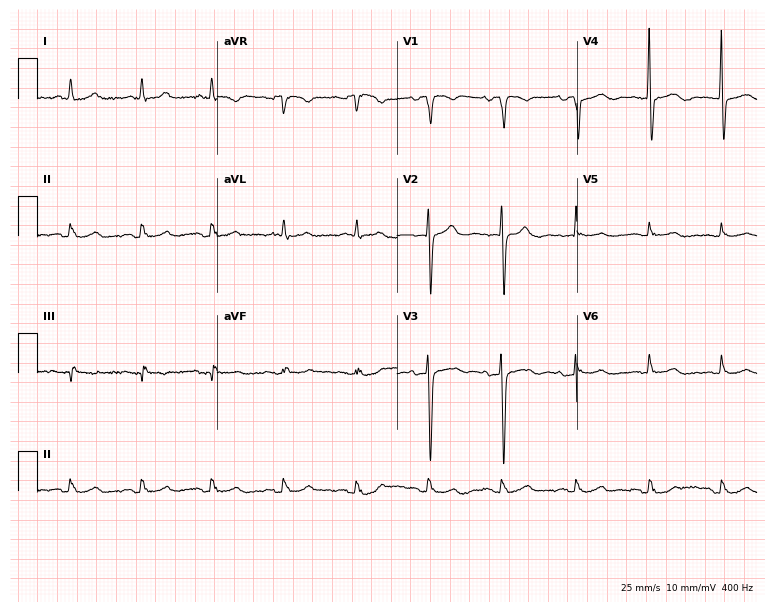
ECG — a female, 57 years old. Labelled as a normal ECG.